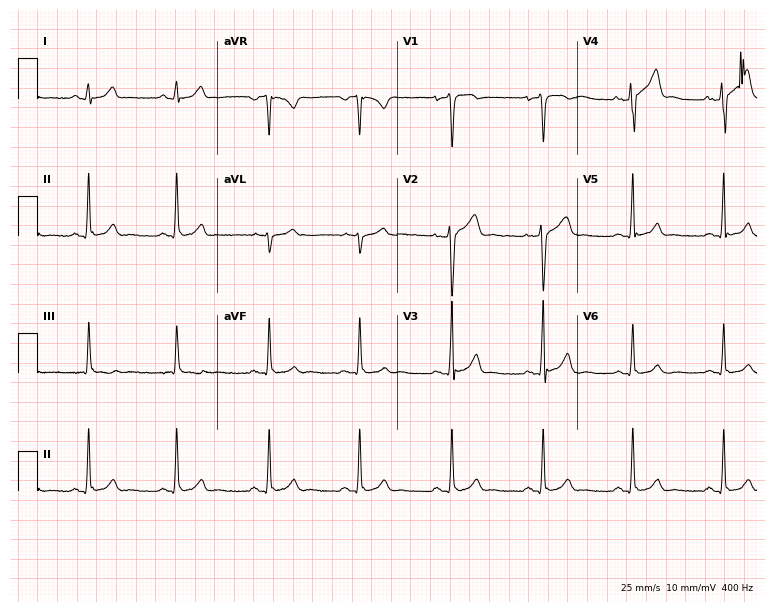
Electrocardiogram (7.3-second recording at 400 Hz), a 23-year-old man. Overall reading on record: normal ECG.